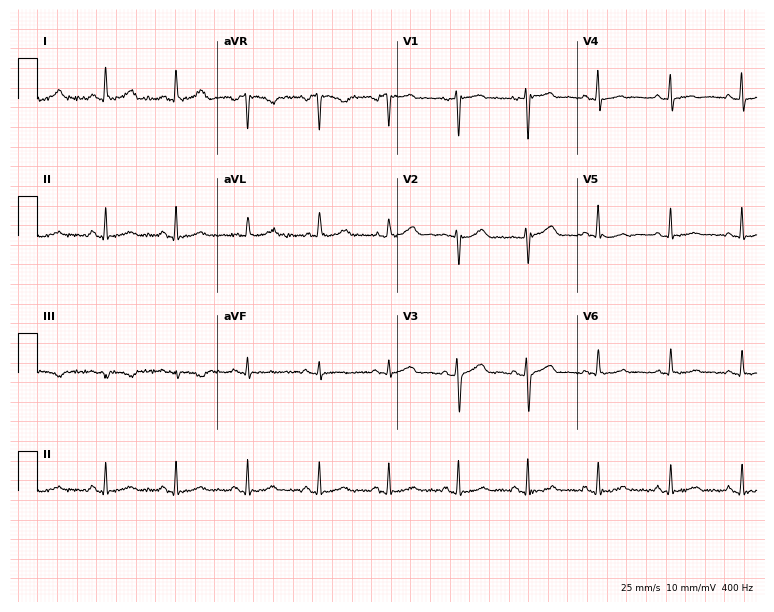
ECG — a 39-year-old female patient. Screened for six findings — first-degree AV block, right bundle branch block (RBBB), left bundle branch block (LBBB), sinus bradycardia, atrial fibrillation (AF), sinus tachycardia — none is recorded.